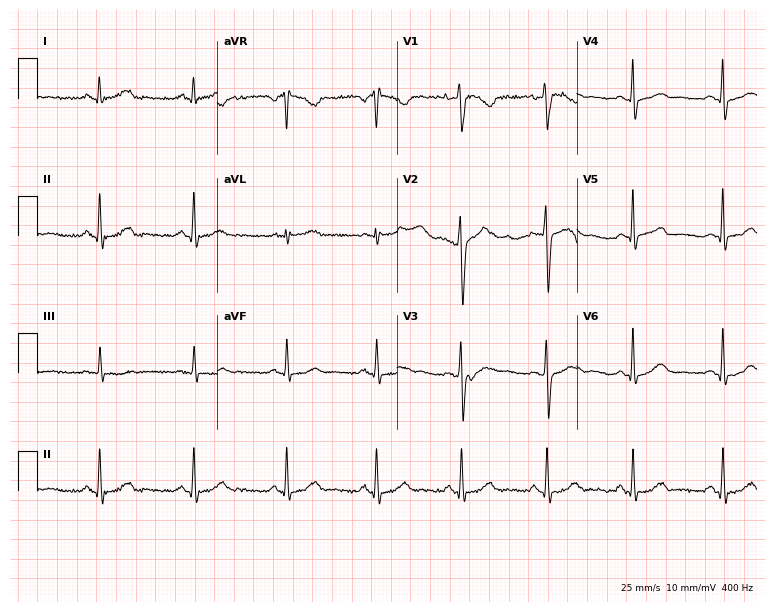
ECG (7.3-second recording at 400 Hz) — a woman, 33 years old. Screened for six findings — first-degree AV block, right bundle branch block (RBBB), left bundle branch block (LBBB), sinus bradycardia, atrial fibrillation (AF), sinus tachycardia — none is recorded. Only these six findings were labelled.